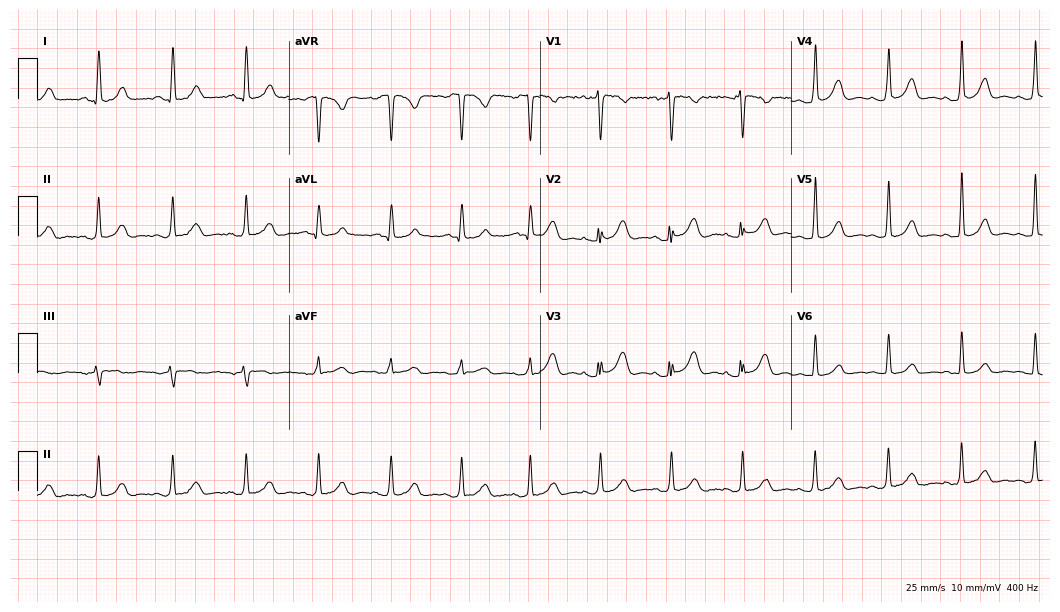
ECG — a 41-year-old female. Screened for six findings — first-degree AV block, right bundle branch block, left bundle branch block, sinus bradycardia, atrial fibrillation, sinus tachycardia — none is recorded. Other findings, if any, are not listed.